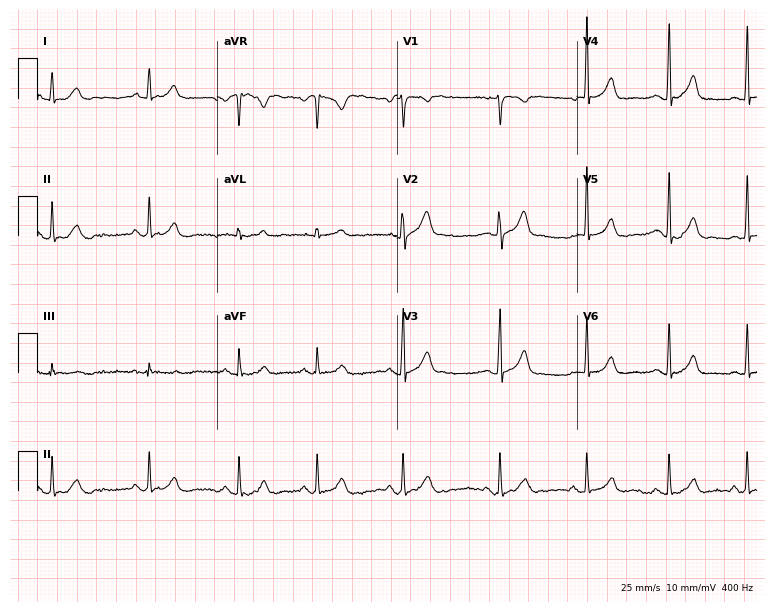
ECG — a female patient, 26 years old. Screened for six findings — first-degree AV block, right bundle branch block, left bundle branch block, sinus bradycardia, atrial fibrillation, sinus tachycardia — none is recorded.